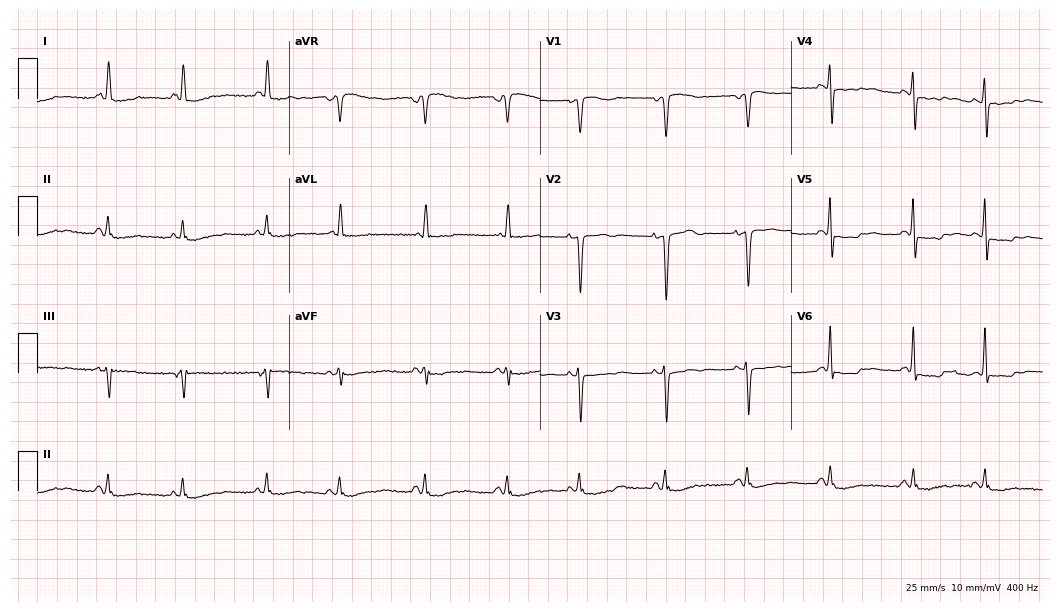
12-lead ECG from a 77-year-old female. No first-degree AV block, right bundle branch block, left bundle branch block, sinus bradycardia, atrial fibrillation or sinus tachycardia recorded for this tracing.